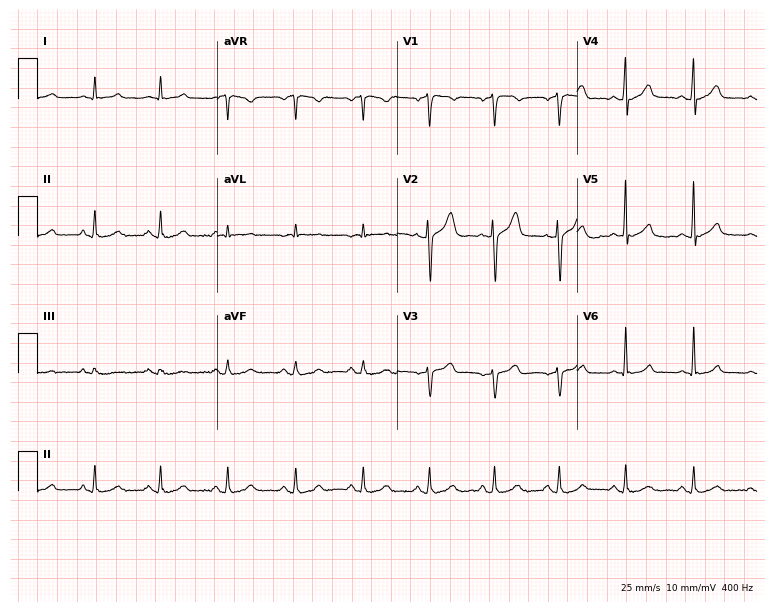
ECG (7.3-second recording at 400 Hz) — a man, 66 years old. Labelled as a normal ECG.